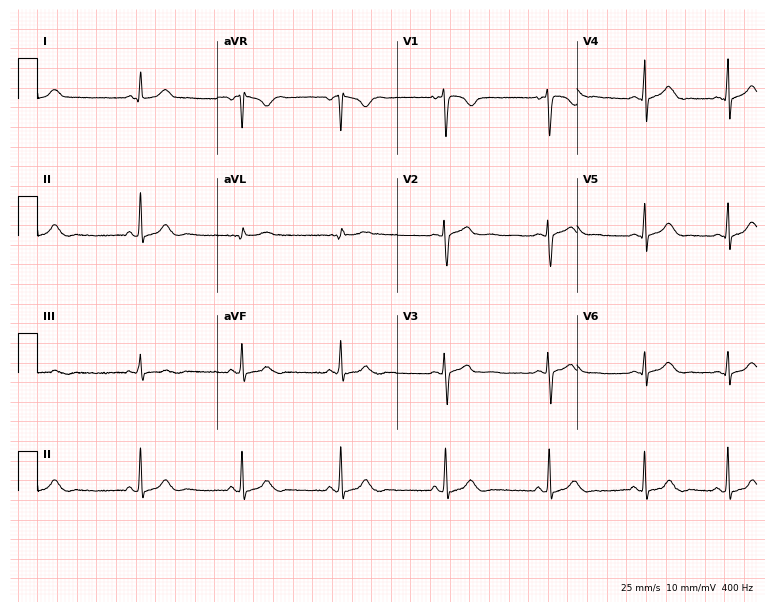
Resting 12-lead electrocardiogram. Patient: a 26-year-old female. None of these six findings is recorded: first-degree AV block, right bundle branch block (RBBB), left bundle branch block (LBBB), sinus bradycardia, atrial fibrillation (AF), sinus tachycardia. Findings outside these six are not listed.